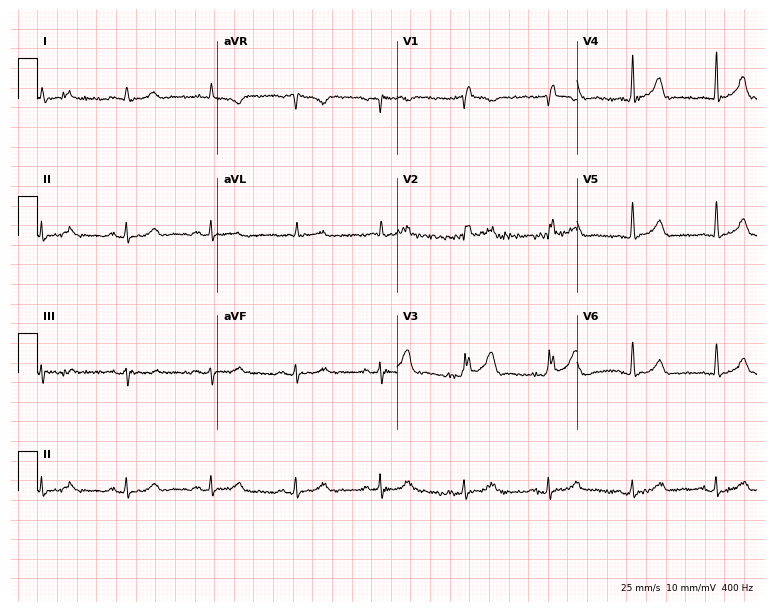
Standard 12-lead ECG recorded from a man, 85 years old (7.3-second recording at 400 Hz). None of these six findings is recorded: first-degree AV block, right bundle branch block, left bundle branch block, sinus bradycardia, atrial fibrillation, sinus tachycardia. Other findings, if any, are not listed.